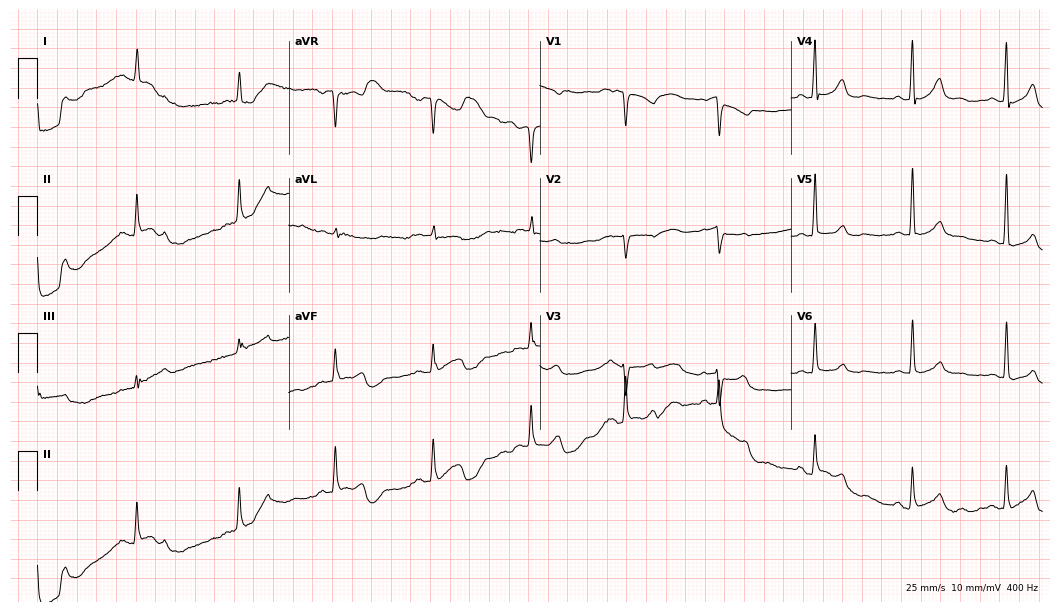
Standard 12-lead ECG recorded from a 79-year-old female. Read as a normal ECG.